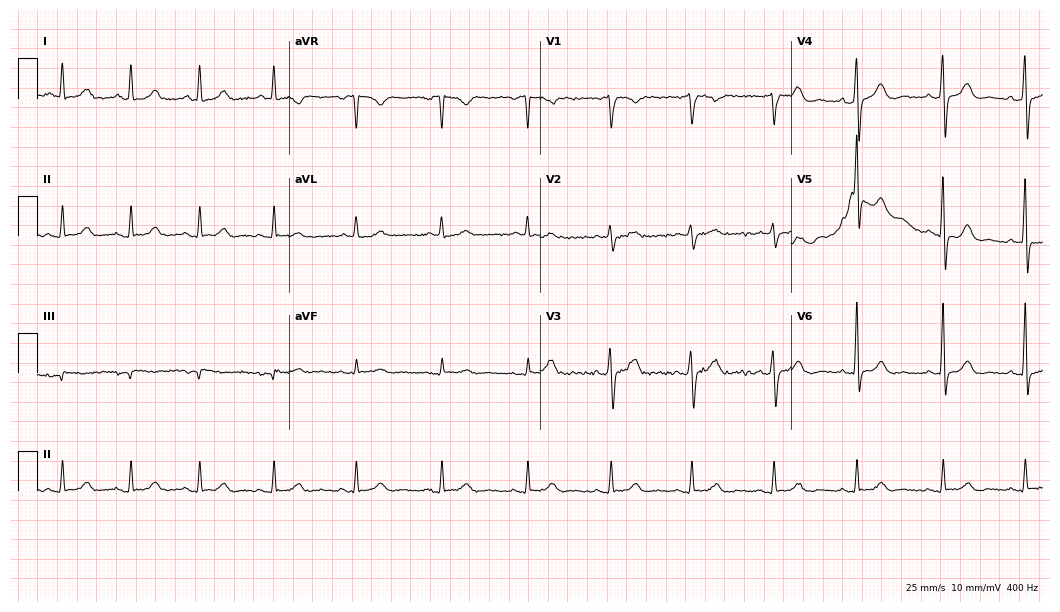
Electrocardiogram, a 52-year-old male. Overall reading on record: normal ECG.